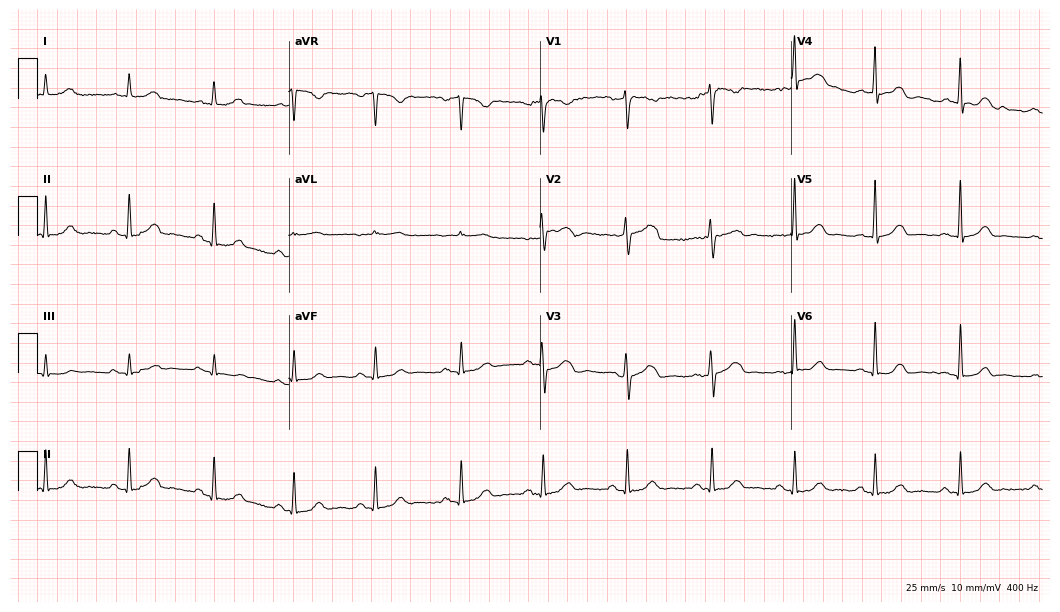
12-lead ECG from a female patient, 37 years old. Screened for six findings — first-degree AV block, right bundle branch block, left bundle branch block, sinus bradycardia, atrial fibrillation, sinus tachycardia — none is recorded. Only these six findings were labelled.